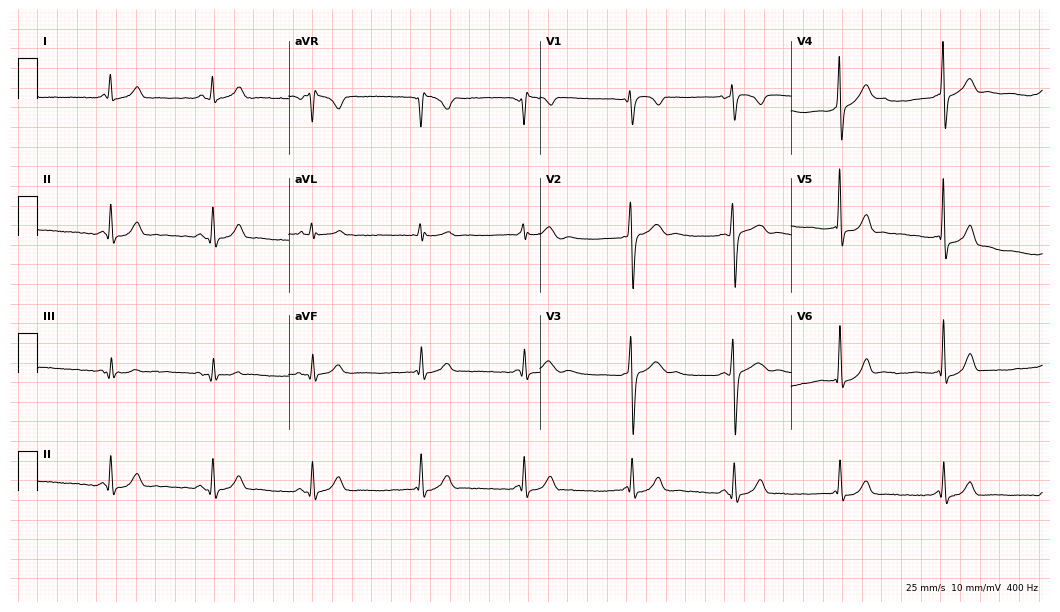
12-lead ECG from a 30-year-old female. No first-degree AV block, right bundle branch block (RBBB), left bundle branch block (LBBB), sinus bradycardia, atrial fibrillation (AF) or sinus tachycardia recorded for this tracing.